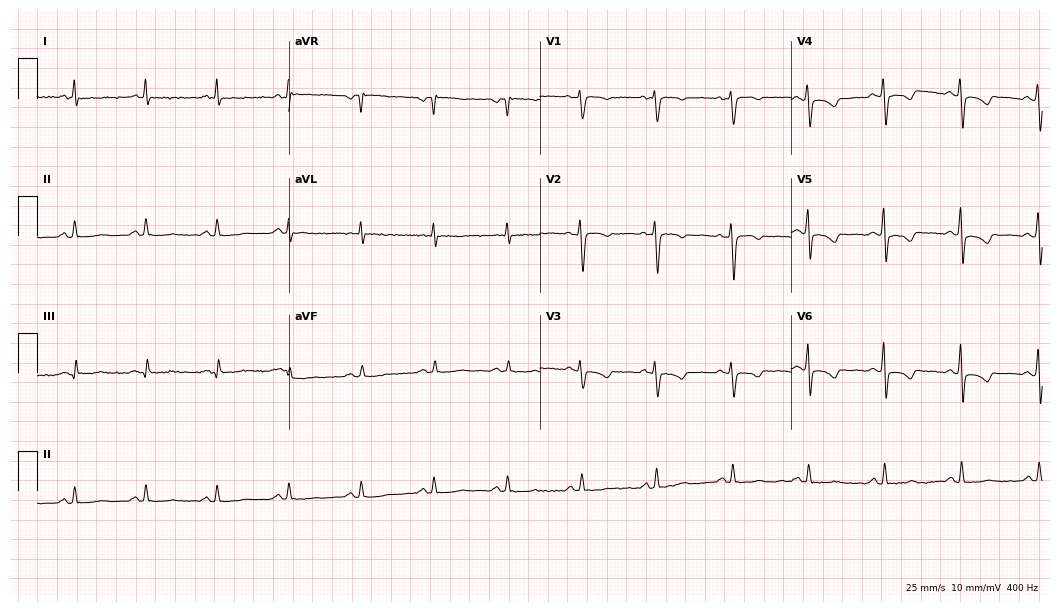
12-lead ECG from a 54-year-old female patient. No first-degree AV block, right bundle branch block, left bundle branch block, sinus bradycardia, atrial fibrillation or sinus tachycardia recorded for this tracing.